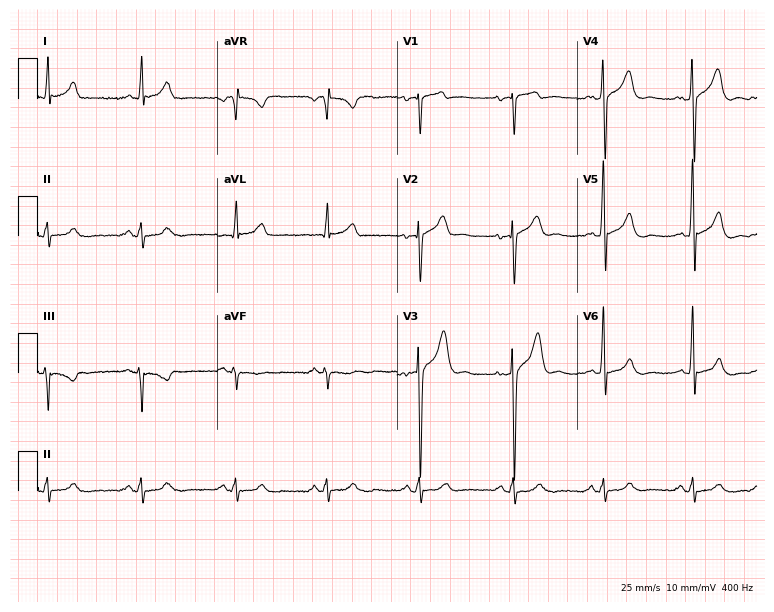
Standard 12-lead ECG recorded from a male, 36 years old (7.3-second recording at 400 Hz). None of these six findings is recorded: first-degree AV block, right bundle branch block, left bundle branch block, sinus bradycardia, atrial fibrillation, sinus tachycardia.